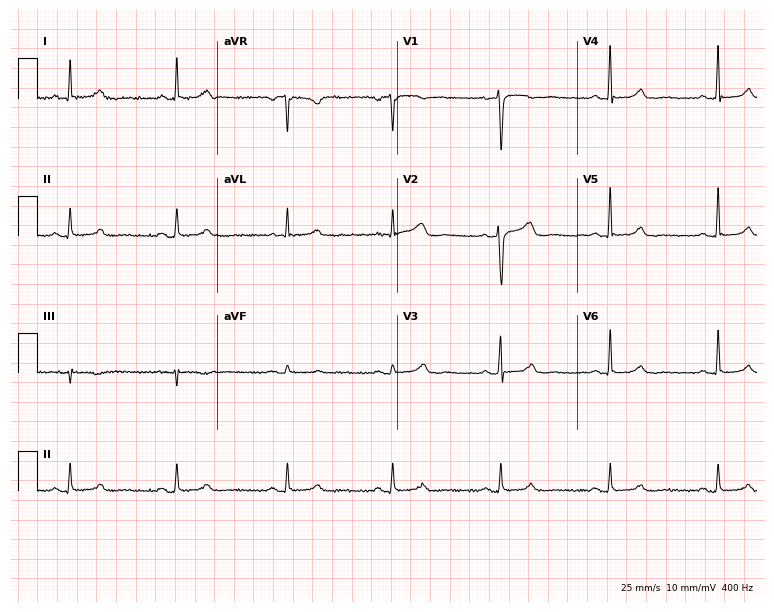
Standard 12-lead ECG recorded from a female, 55 years old (7.3-second recording at 400 Hz). Read as a normal ECG.